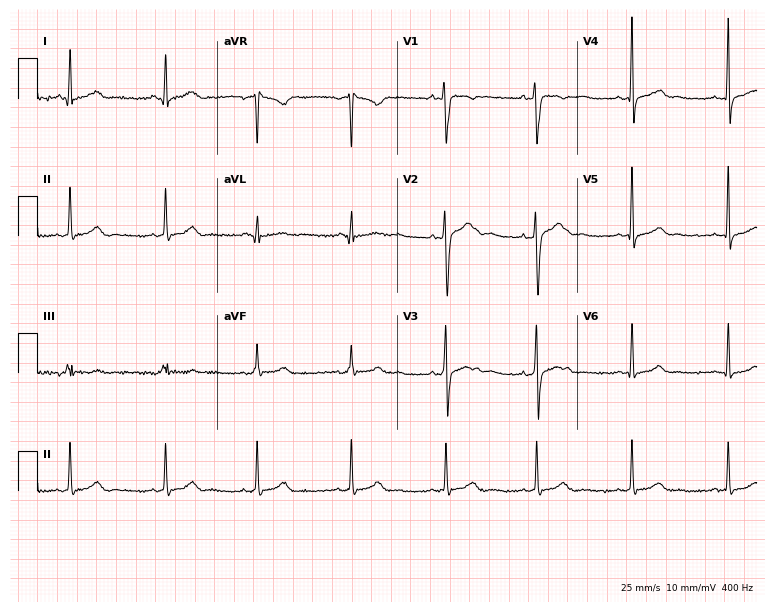
Resting 12-lead electrocardiogram (7.3-second recording at 400 Hz). Patient: a male, 23 years old. None of these six findings is recorded: first-degree AV block, right bundle branch block (RBBB), left bundle branch block (LBBB), sinus bradycardia, atrial fibrillation (AF), sinus tachycardia.